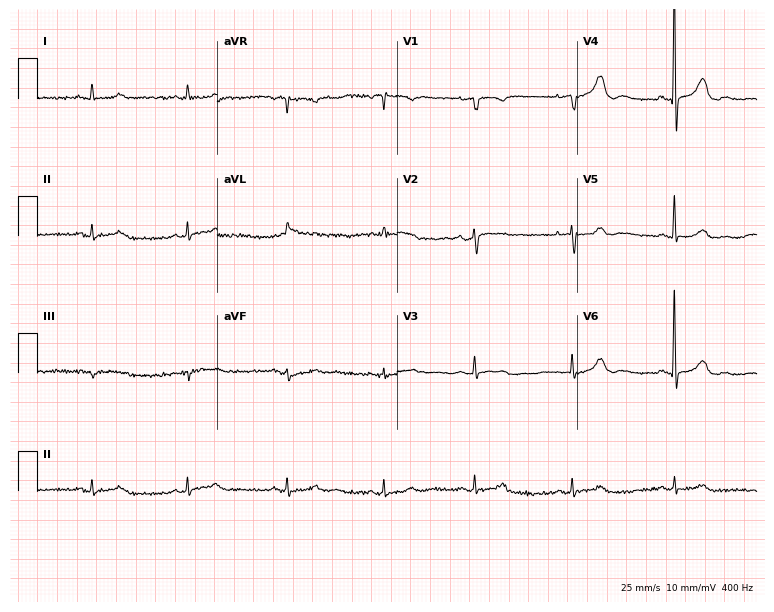
Electrocardiogram, a 74-year-old female. Overall reading on record: normal ECG.